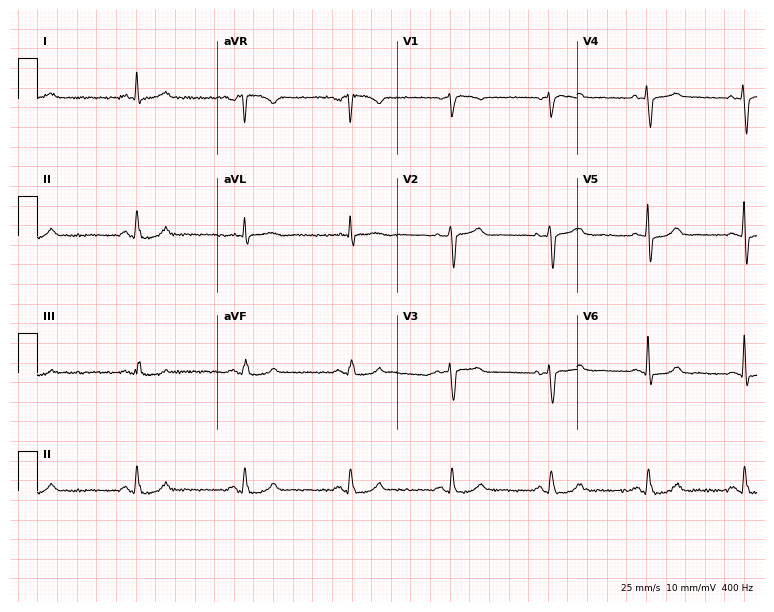
12-lead ECG from a female, 57 years old. Screened for six findings — first-degree AV block, right bundle branch block, left bundle branch block, sinus bradycardia, atrial fibrillation, sinus tachycardia — none is recorded.